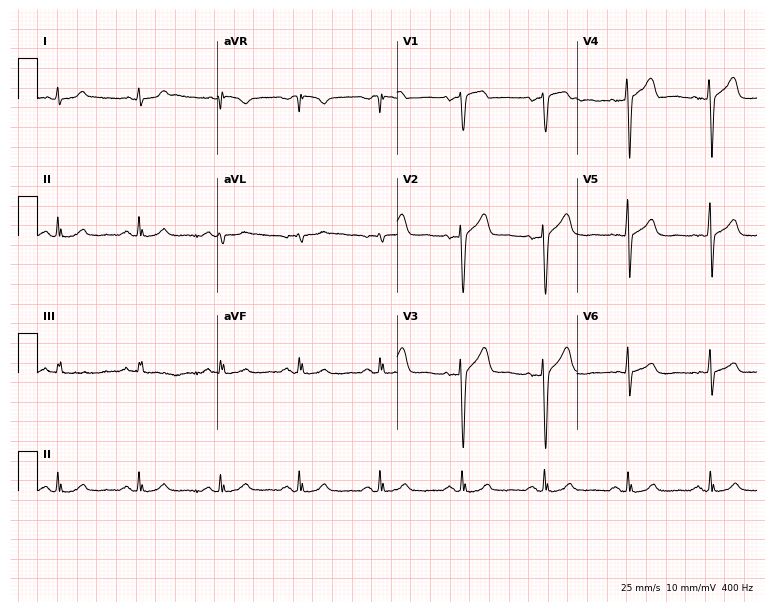
12-lead ECG from a 61-year-old male patient. Labelled as a normal ECG.